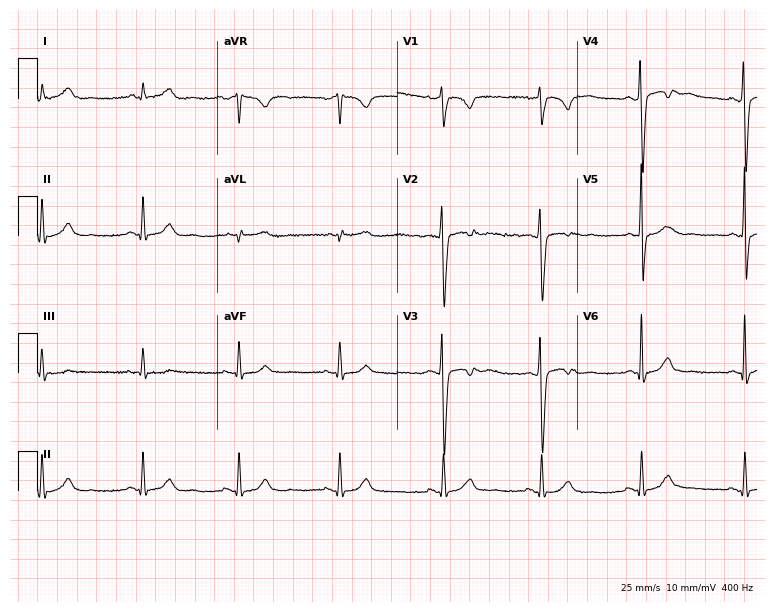
ECG — a 31-year-old female patient. Screened for six findings — first-degree AV block, right bundle branch block (RBBB), left bundle branch block (LBBB), sinus bradycardia, atrial fibrillation (AF), sinus tachycardia — none is recorded.